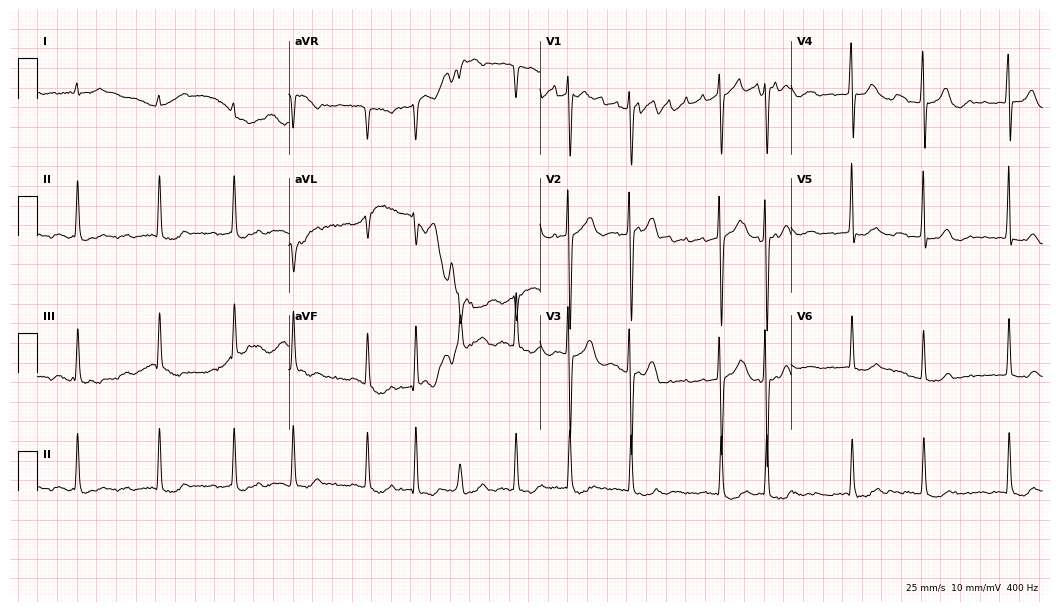
Electrocardiogram (10.2-second recording at 400 Hz), an 83-year-old female patient. Interpretation includes atrial fibrillation.